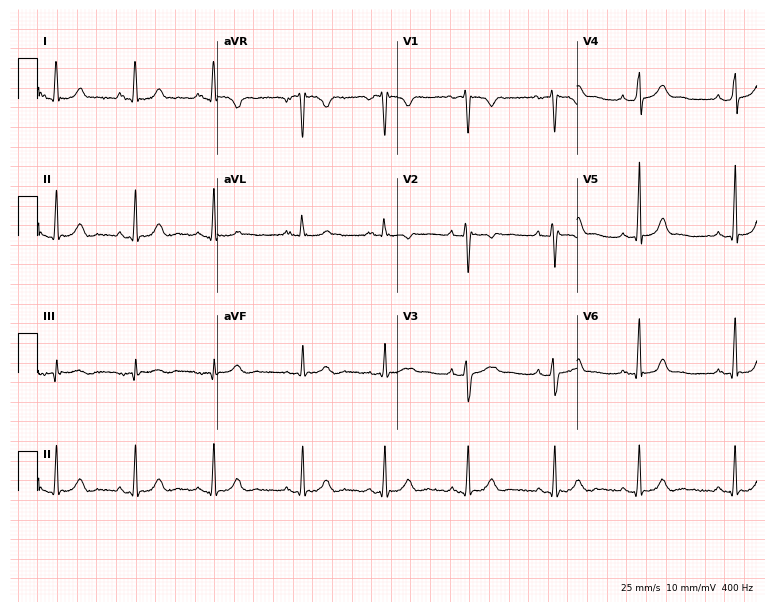
ECG (7.3-second recording at 400 Hz) — a male, 19 years old. Labelled as a normal ECG.